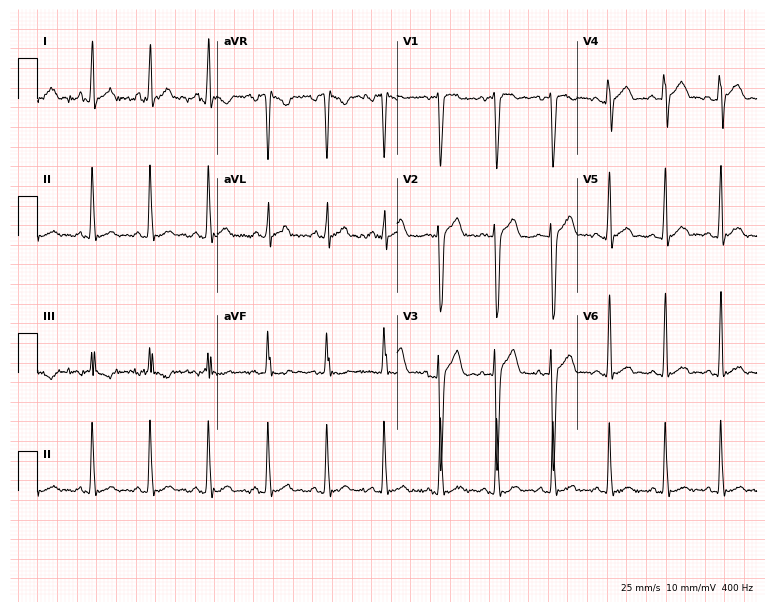
ECG — a 23-year-old man. Findings include sinus tachycardia (a sinus rate of 100 beats per minute or more).